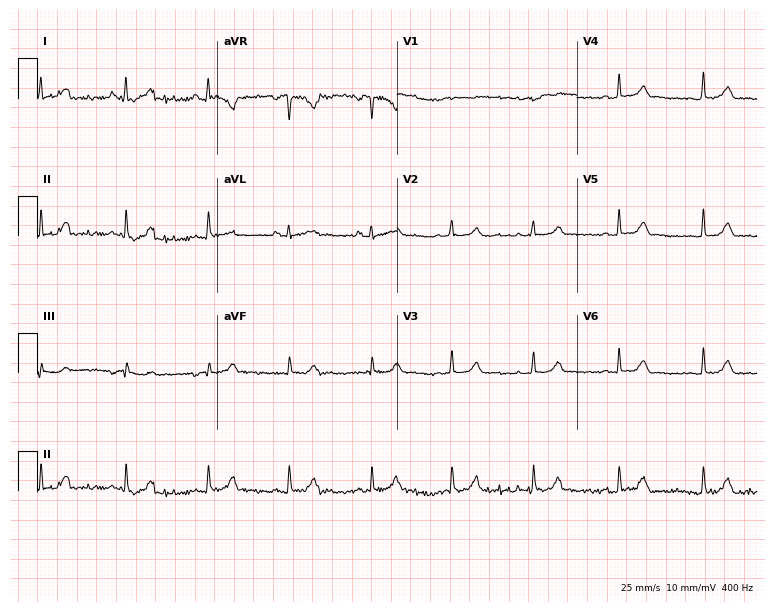
12-lead ECG from a 25-year-old woman. No first-degree AV block, right bundle branch block, left bundle branch block, sinus bradycardia, atrial fibrillation or sinus tachycardia recorded for this tracing. Only these six findings were labelled.